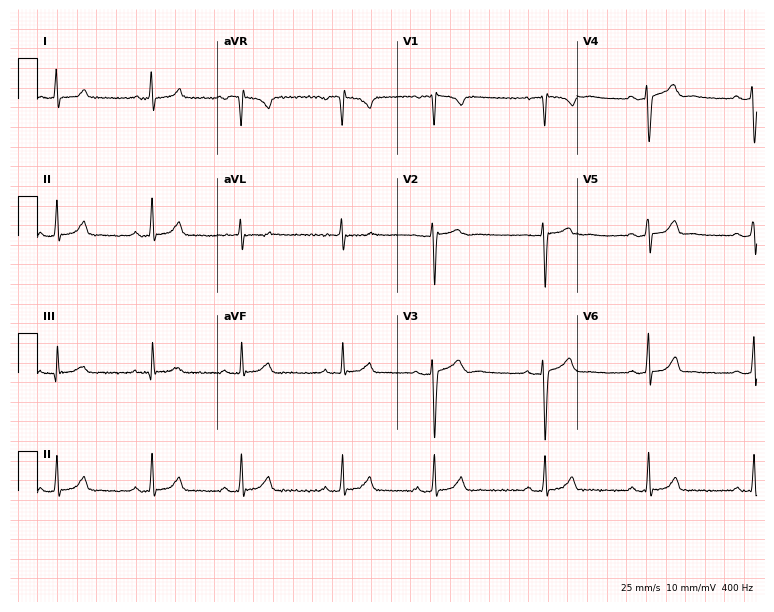
Standard 12-lead ECG recorded from a female, 20 years old. Read as a normal ECG.